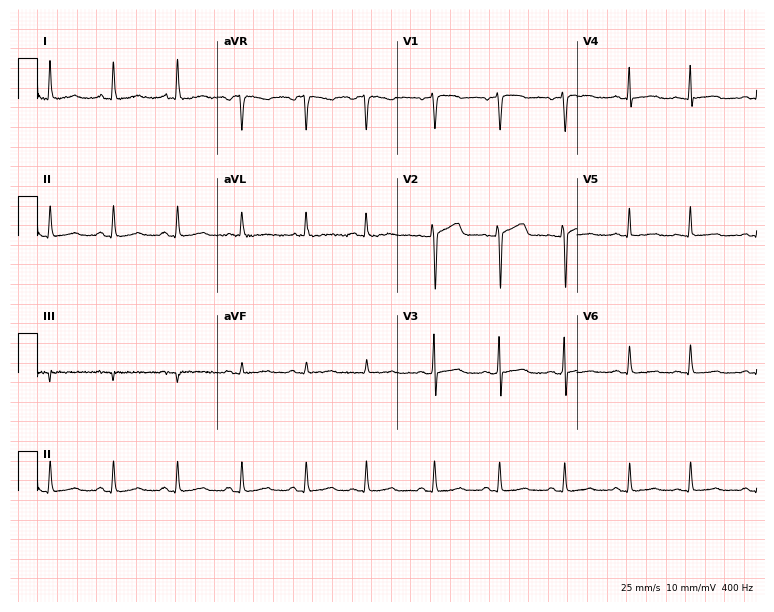
12-lead ECG from a female patient, 60 years old. No first-degree AV block, right bundle branch block (RBBB), left bundle branch block (LBBB), sinus bradycardia, atrial fibrillation (AF) or sinus tachycardia recorded for this tracing. Only these six findings were labelled.